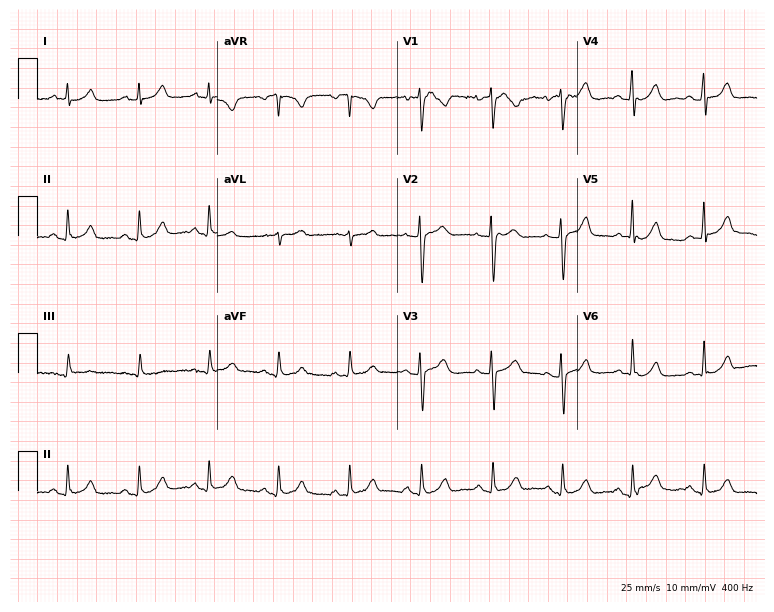
Resting 12-lead electrocardiogram. Patient: a female, 35 years old. Read as a normal ECG.